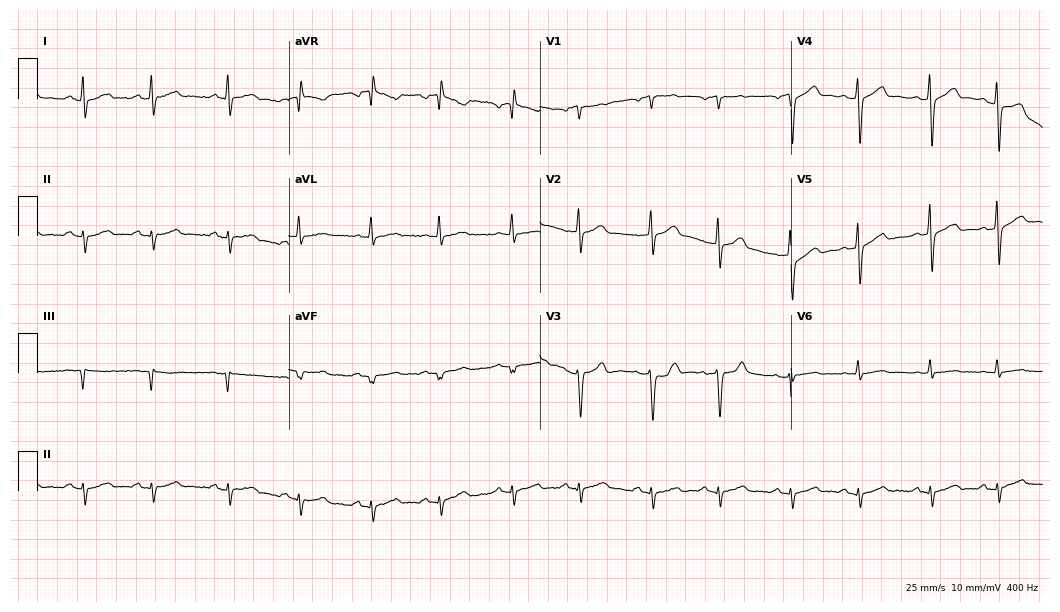
12-lead ECG from a male, 54 years old (10.2-second recording at 400 Hz). No first-degree AV block, right bundle branch block, left bundle branch block, sinus bradycardia, atrial fibrillation or sinus tachycardia recorded for this tracing.